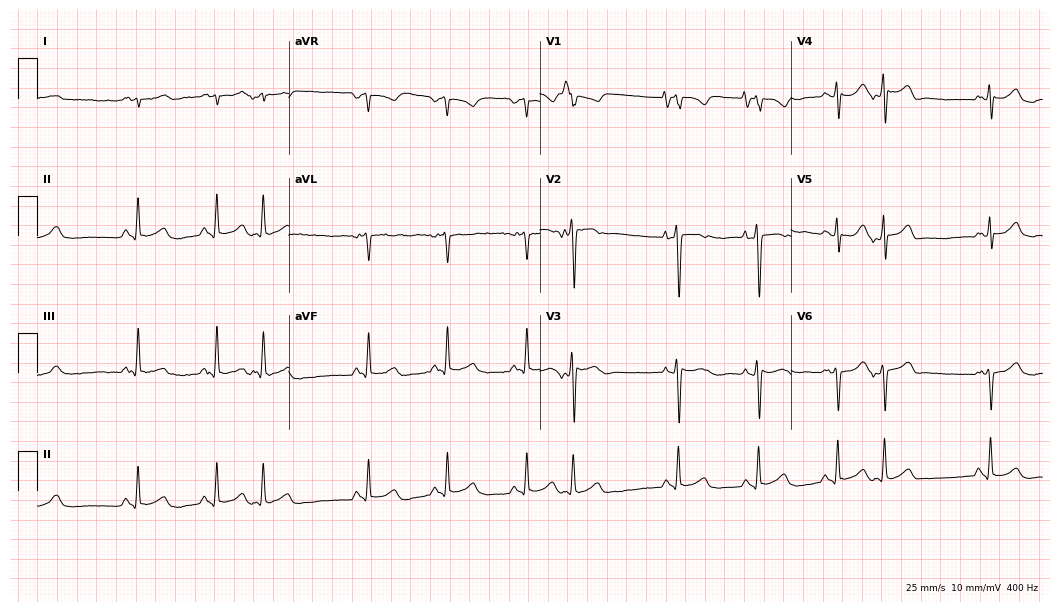
12-lead ECG from an 84-year-old woman (10.2-second recording at 400 Hz). No first-degree AV block, right bundle branch block (RBBB), left bundle branch block (LBBB), sinus bradycardia, atrial fibrillation (AF) or sinus tachycardia recorded for this tracing.